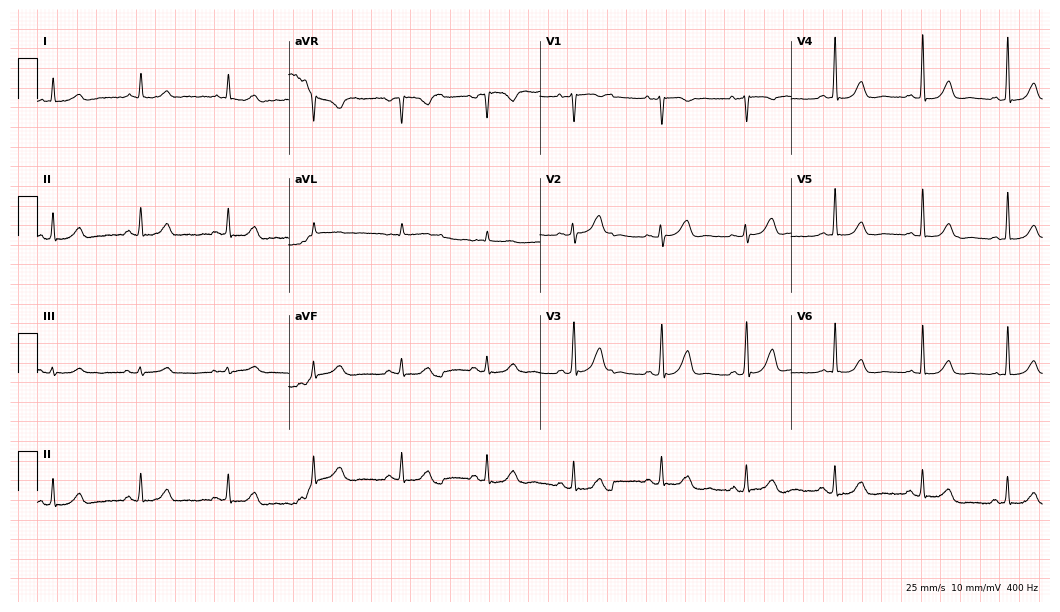
12-lead ECG from a 54-year-old female patient (10.2-second recording at 400 Hz). No first-degree AV block, right bundle branch block, left bundle branch block, sinus bradycardia, atrial fibrillation or sinus tachycardia recorded for this tracing. Other findings, if any, are not listed.